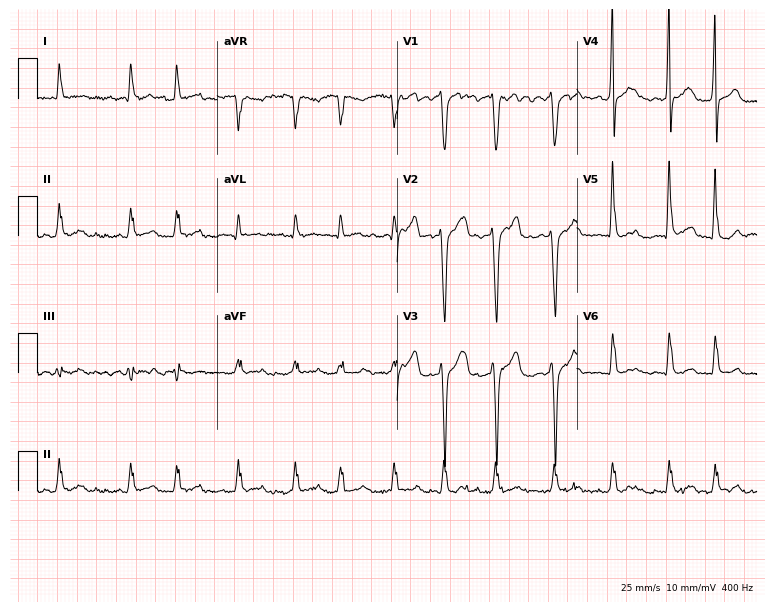
ECG — a 30-year-old male patient. Findings include atrial fibrillation.